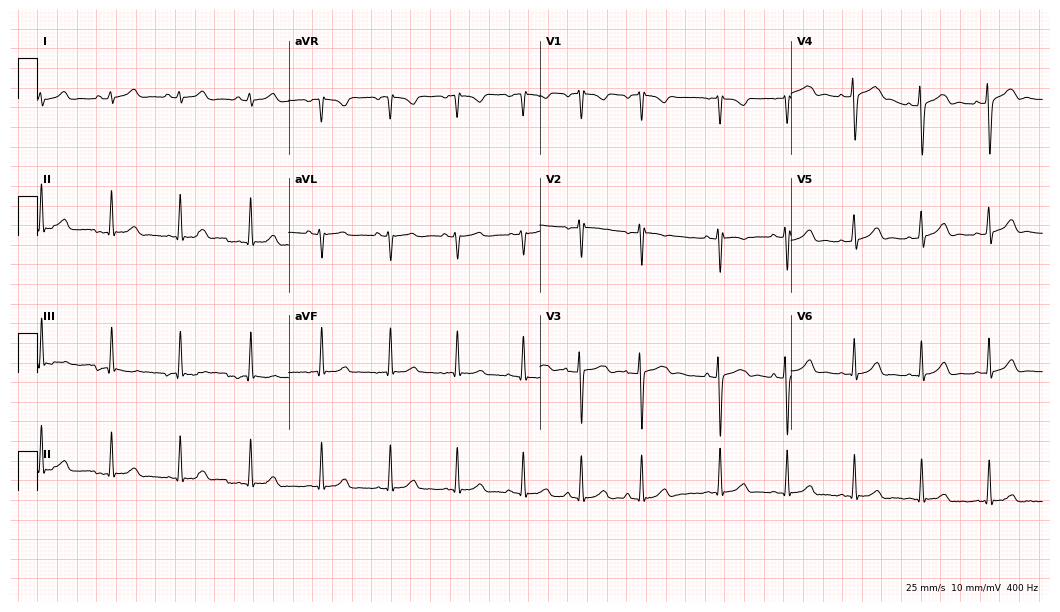
Electrocardiogram, a 20-year-old female patient. Overall reading on record: normal ECG.